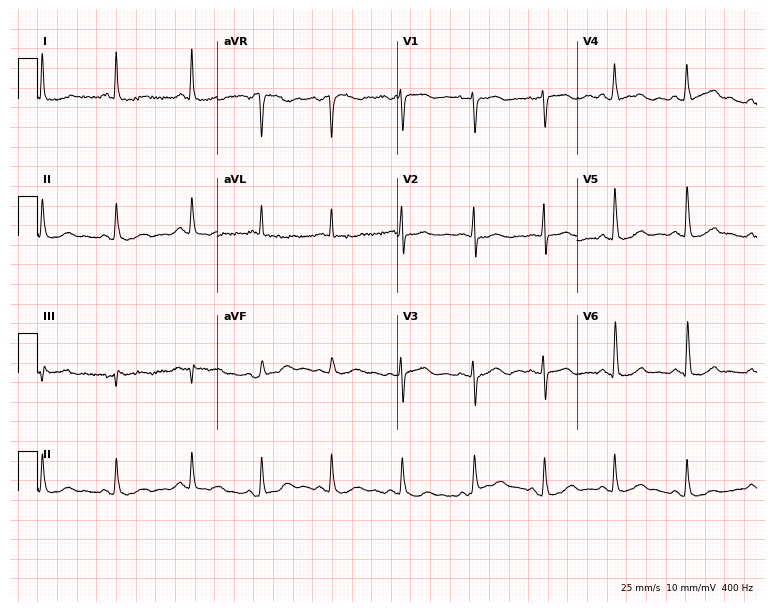
Electrocardiogram (7.3-second recording at 400 Hz), a female patient, 72 years old. Overall reading on record: normal ECG.